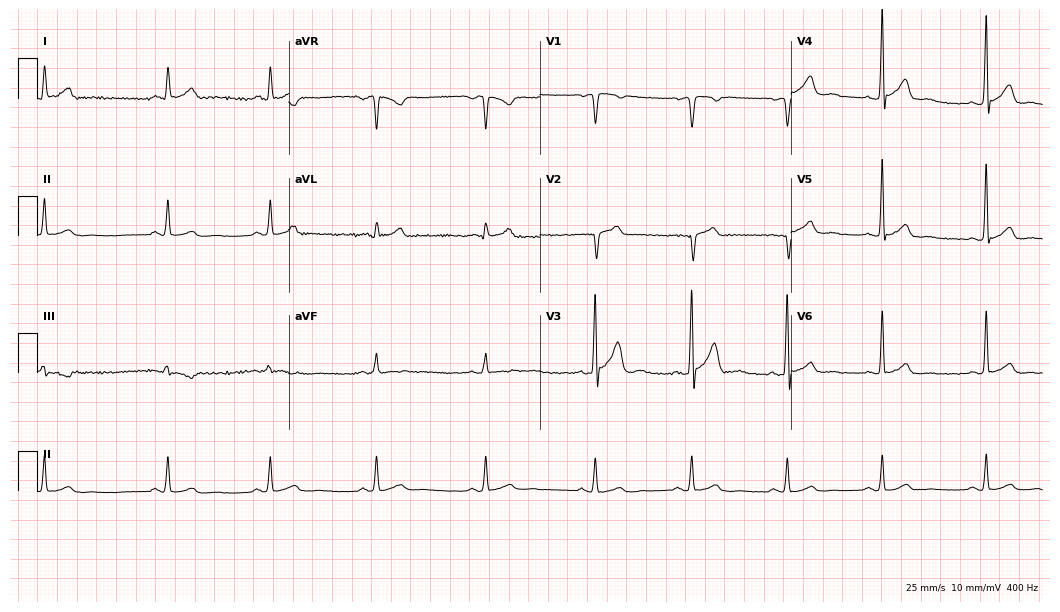
Resting 12-lead electrocardiogram (10.2-second recording at 400 Hz). Patient: a man, 31 years old. Read as a normal ECG.